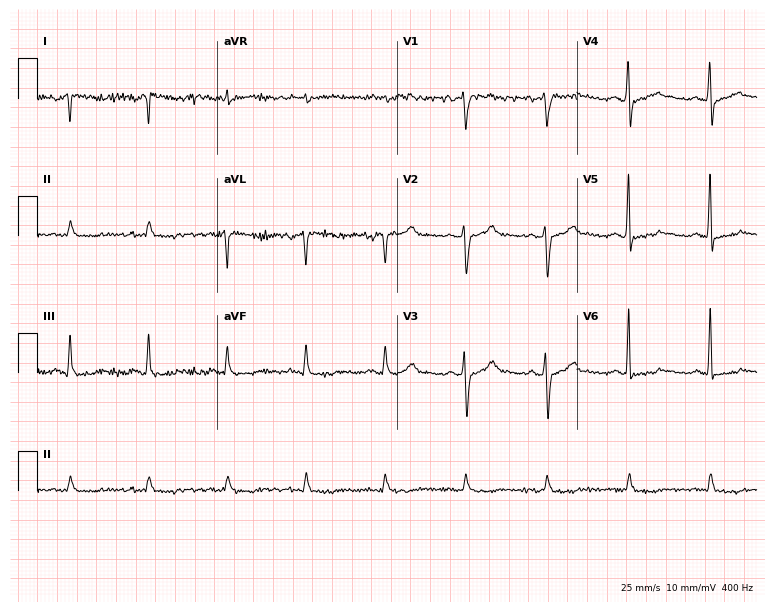
ECG (7.3-second recording at 400 Hz) — a 50-year-old man. Screened for six findings — first-degree AV block, right bundle branch block (RBBB), left bundle branch block (LBBB), sinus bradycardia, atrial fibrillation (AF), sinus tachycardia — none is recorded. Other findings, if any, are not listed.